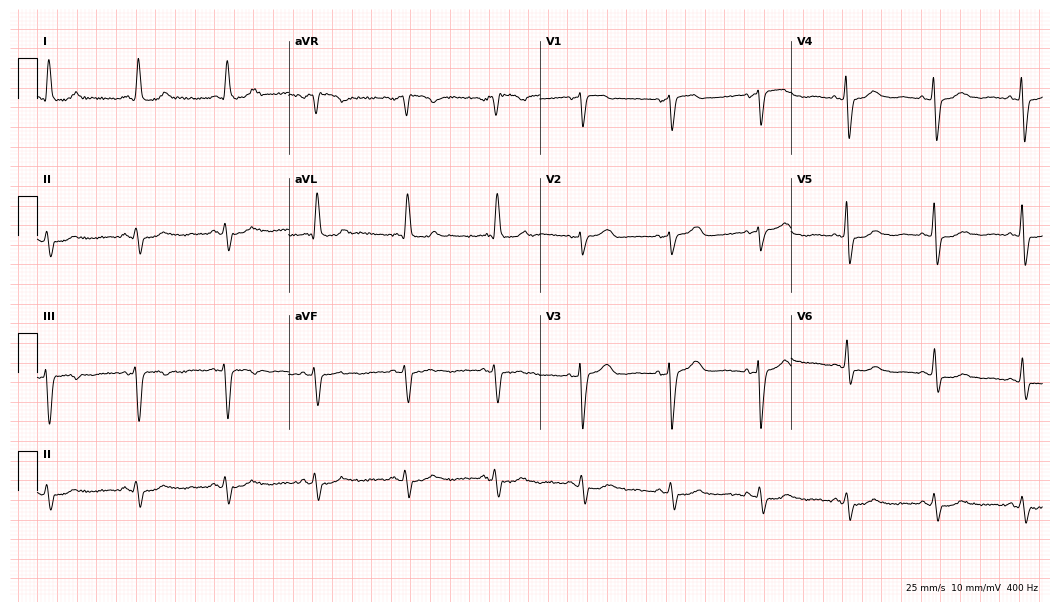
Electrocardiogram, a 69-year-old female. Of the six screened findings (first-degree AV block, right bundle branch block, left bundle branch block, sinus bradycardia, atrial fibrillation, sinus tachycardia), none is recorded.